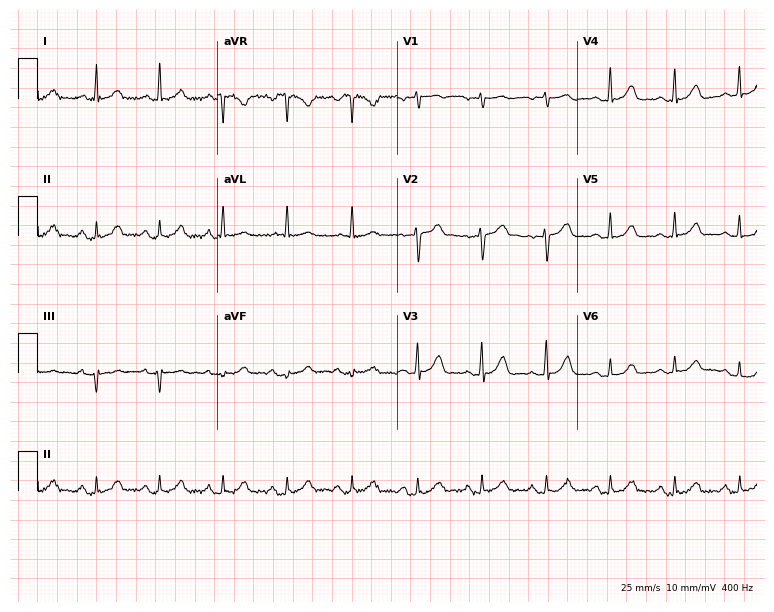
12-lead ECG from a female, 72 years old (7.3-second recording at 400 Hz). Recorded interpretation: within normal limits.